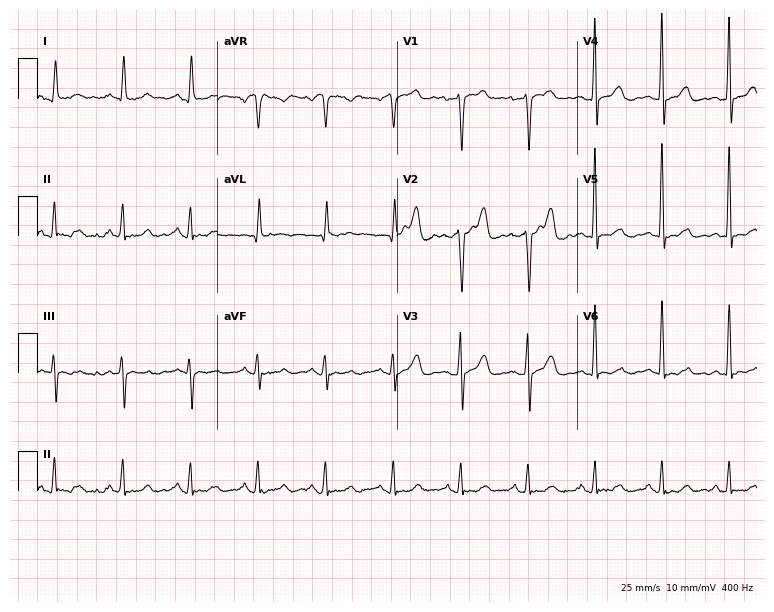
Electrocardiogram (7.3-second recording at 400 Hz), a man, 52 years old. Of the six screened findings (first-degree AV block, right bundle branch block (RBBB), left bundle branch block (LBBB), sinus bradycardia, atrial fibrillation (AF), sinus tachycardia), none is recorded.